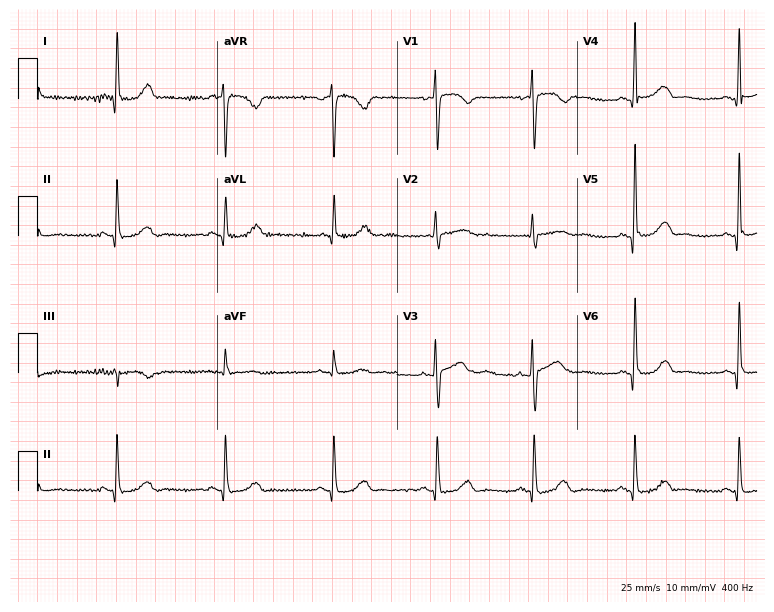
12-lead ECG (7.3-second recording at 400 Hz) from a woman, 47 years old. Labelled as a normal ECG.